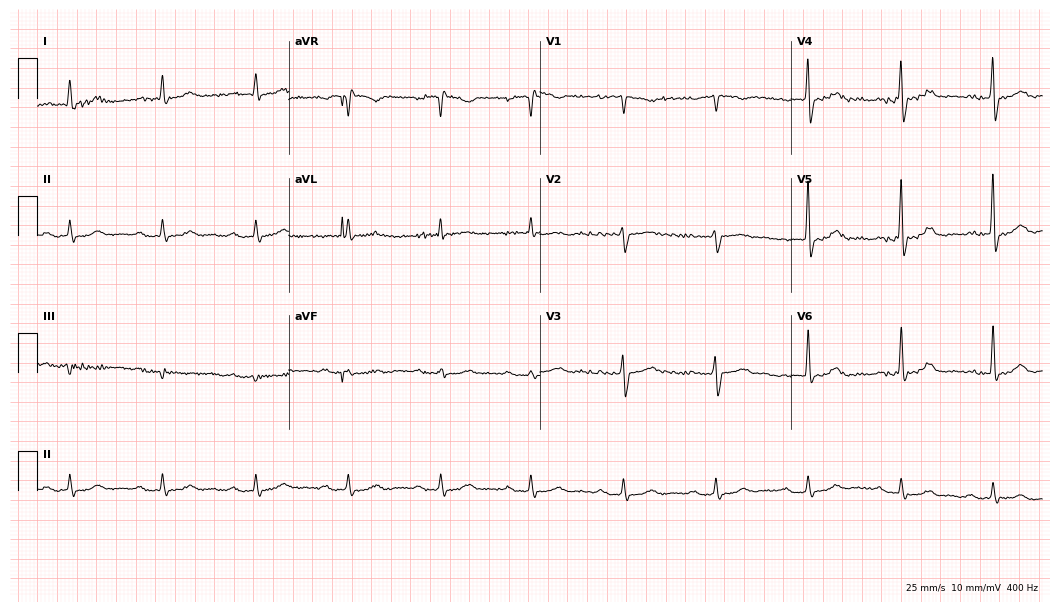
12-lead ECG from a male patient, 69 years old. Recorded interpretation: within normal limits.